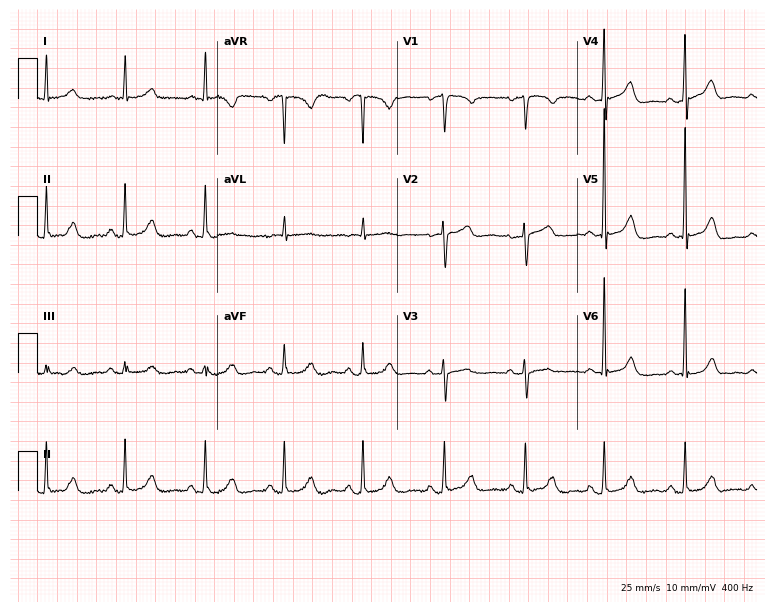
Standard 12-lead ECG recorded from a 67-year-old woman. Read as a normal ECG.